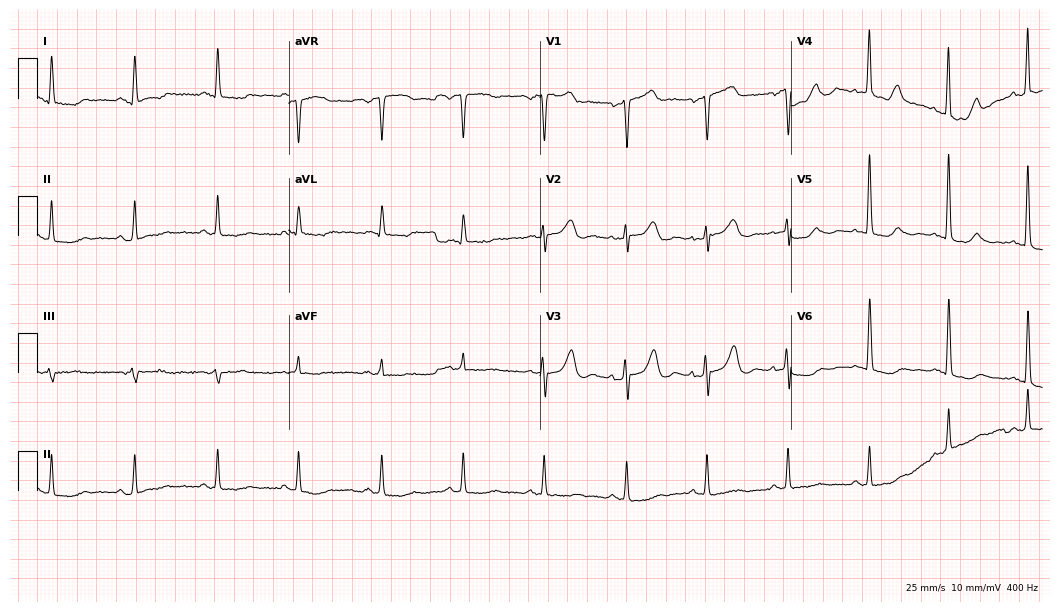
12-lead ECG from a 66-year-old female. Screened for six findings — first-degree AV block, right bundle branch block, left bundle branch block, sinus bradycardia, atrial fibrillation, sinus tachycardia — none is recorded. Other findings, if any, are not listed.